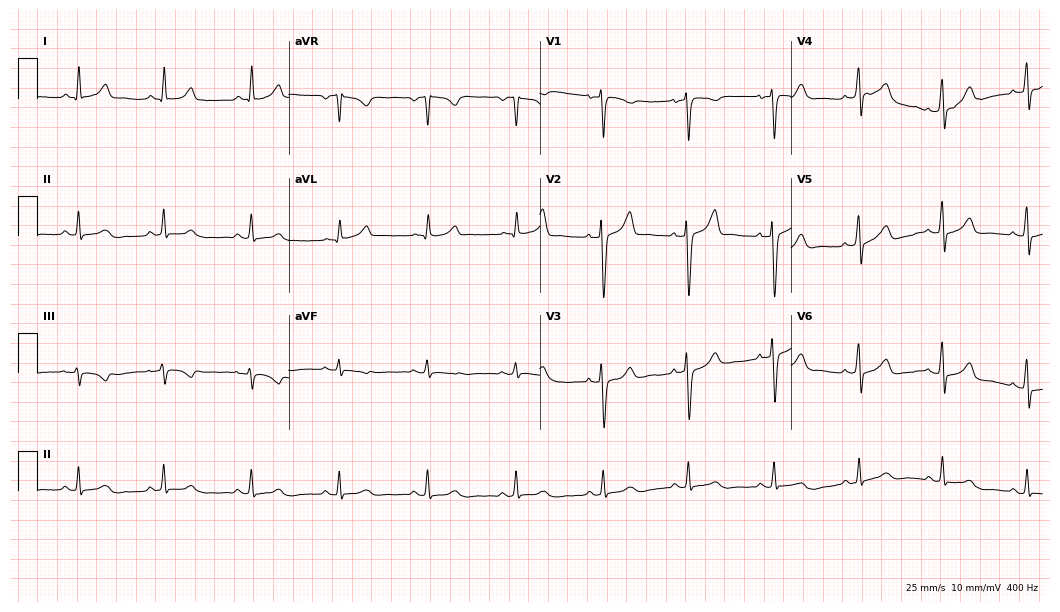
12-lead ECG (10.2-second recording at 400 Hz) from a 48-year-old man. Screened for six findings — first-degree AV block, right bundle branch block, left bundle branch block, sinus bradycardia, atrial fibrillation, sinus tachycardia — none is recorded.